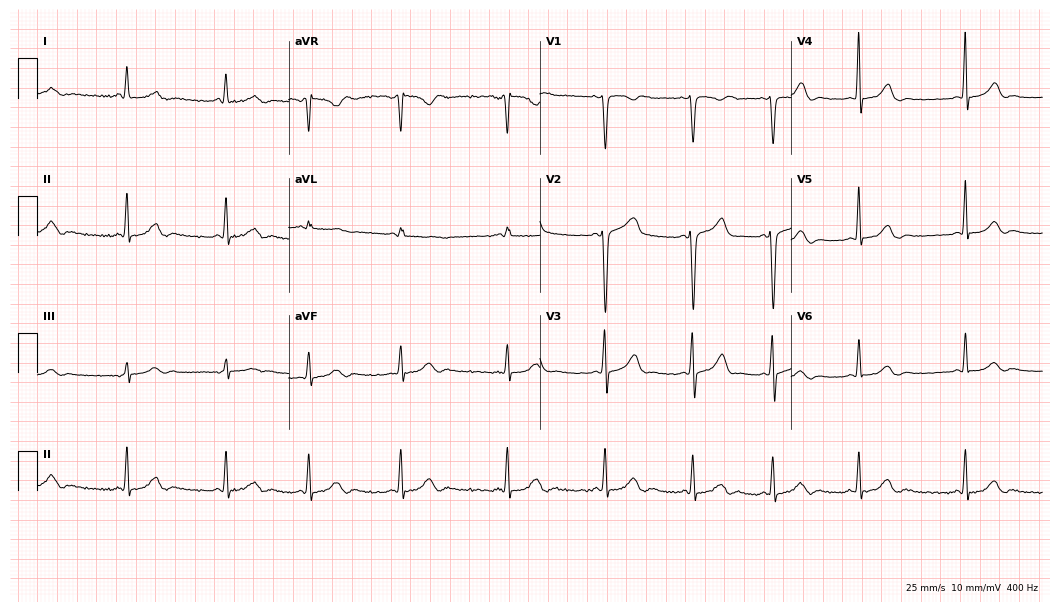
12-lead ECG (10.2-second recording at 400 Hz) from a 26-year-old woman. Screened for six findings — first-degree AV block, right bundle branch block, left bundle branch block, sinus bradycardia, atrial fibrillation, sinus tachycardia — none is recorded.